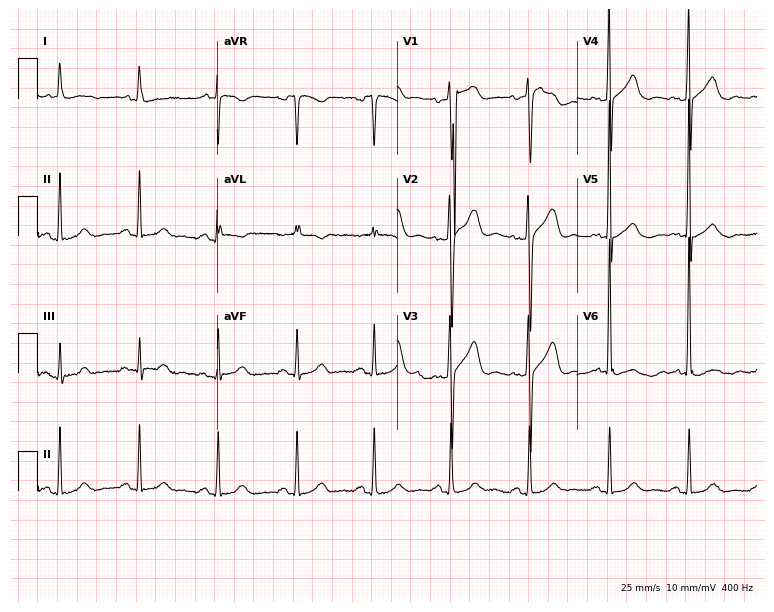
12-lead ECG (7.3-second recording at 400 Hz) from a 79-year-old male patient. Labelled as a normal ECG.